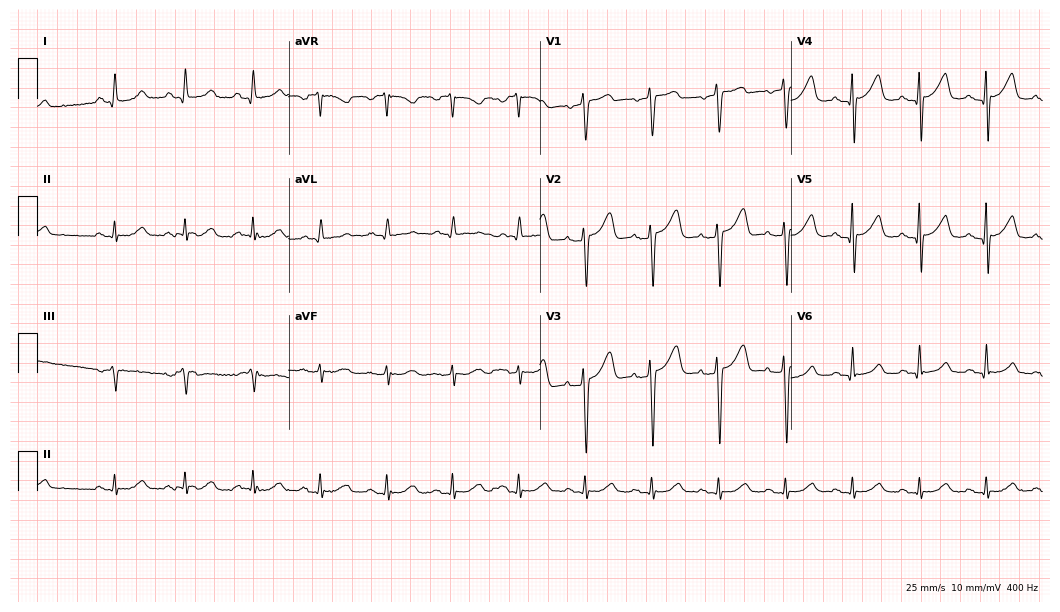
12-lead ECG from a female patient, 66 years old. No first-degree AV block, right bundle branch block, left bundle branch block, sinus bradycardia, atrial fibrillation or sinus tachycardia recorded for this tracing. Findings outside these six are not listed.